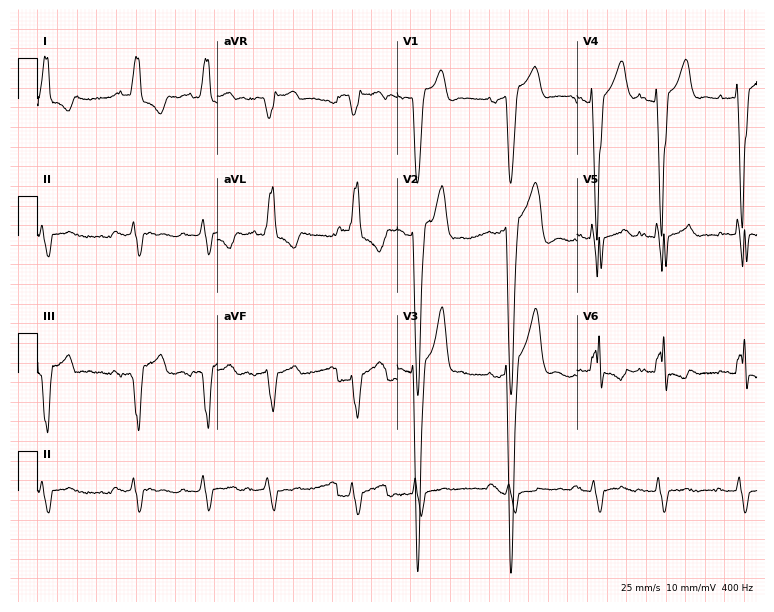
12-lead ECG from a 77-year-old male patient. Shows left bundle branch block.